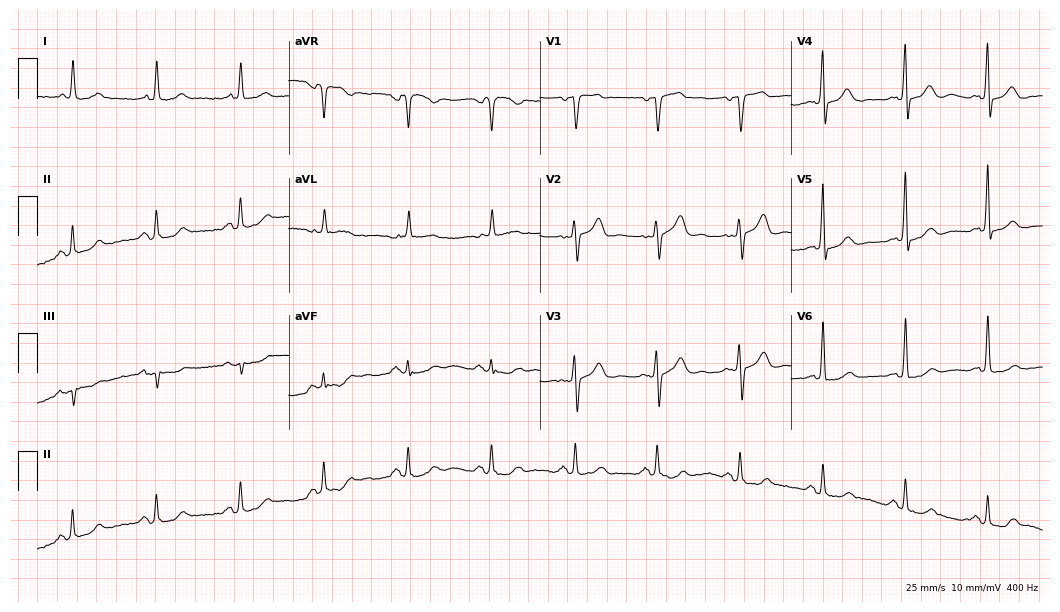
Electrocardiogram, an 83-year-old male patient. Overall reading on record: normal ECG.